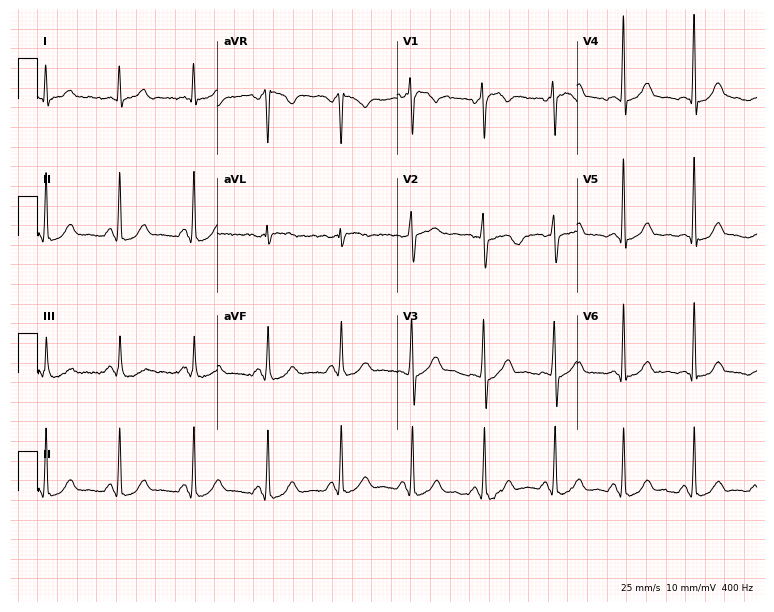
Standard 12-lead ECG recorded from a 38-year-old male patient (7.3-second recording at 400 Hz). Read as a normal ECG.